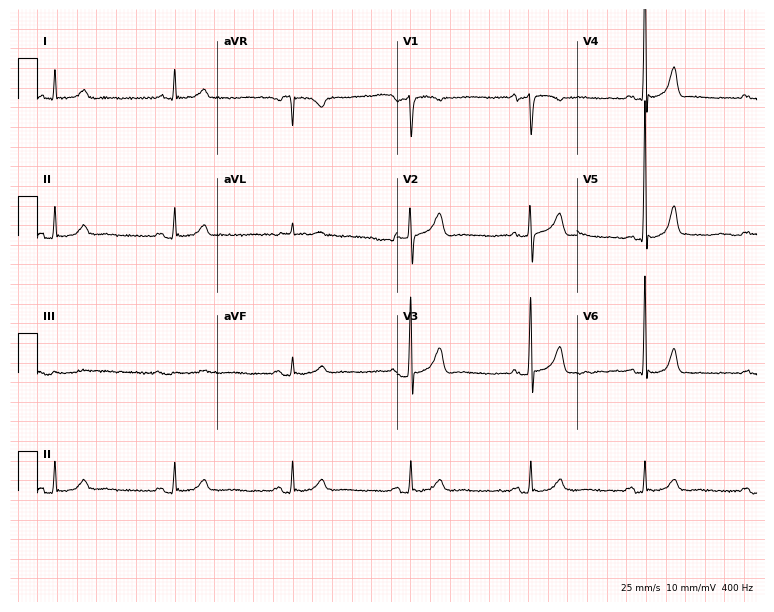
12-lead ECG (7.3-second recording at 400 Hz) from a male patient, 83 years old. Labelled as a normal ECG.